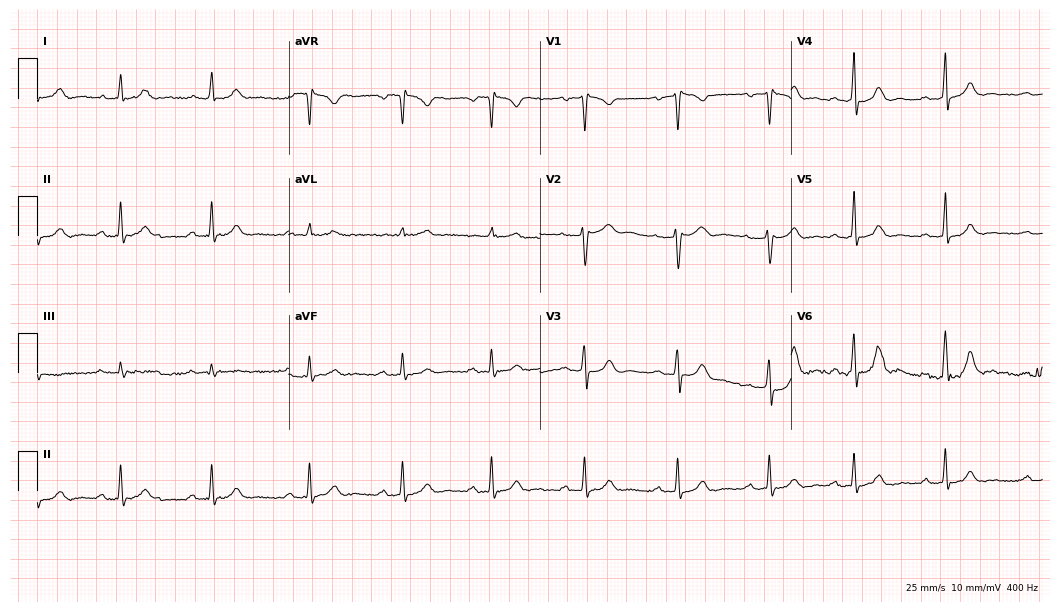
Resting 12-lead electrocardiogram (10.2-second recording at 400 Hz). Patient: a 39-year-old female. Read as a normal ECG.